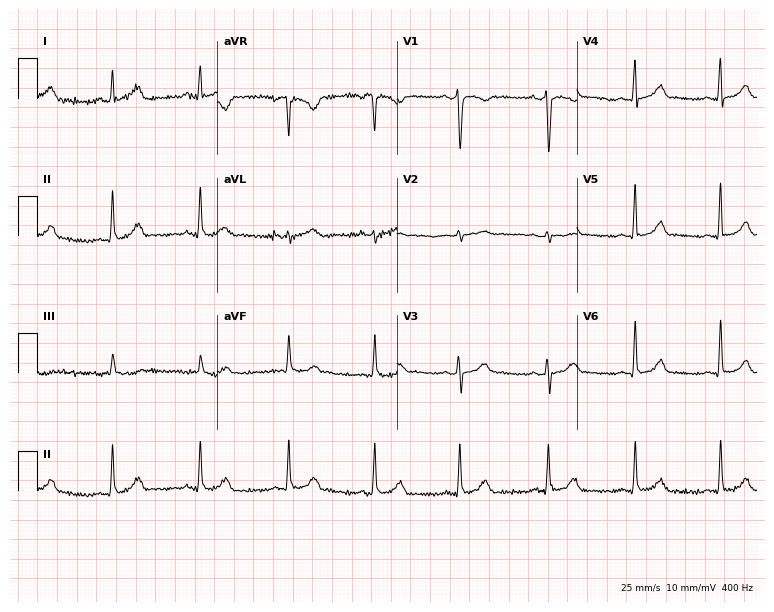
Electrocardiogram (7.3-second recording at 400 Hz), a 34-year-old man. Overall reading on record: normal ECG.